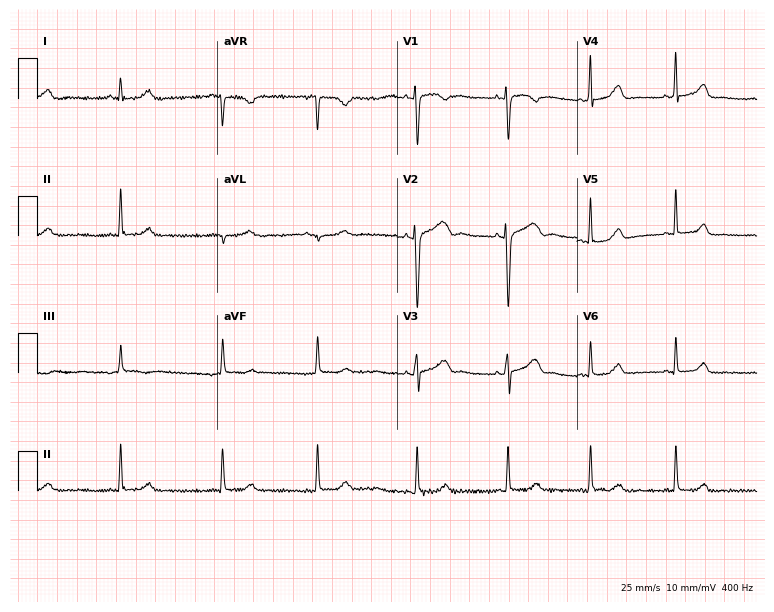
Standard 12-lead ECG recorded from a 17-year-old female patient (7.3-second recording at 400 Hz). None of these six findings is recorded: first-degree AV block, right bundle branch block, left bundle branch block, sinus bradycardia, atrial fibrillation, sinus tachycardia.